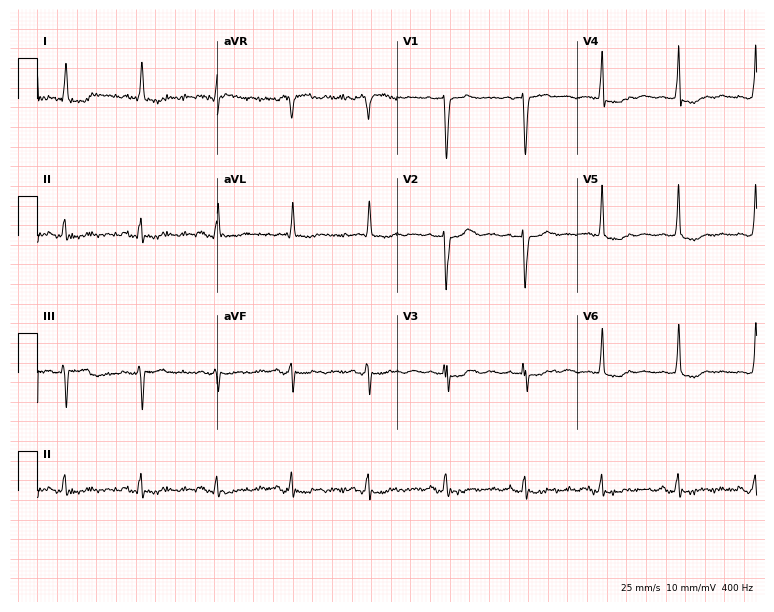
Electrocardiogram, a 69-year-old female. Of the six screened findings (first-degree AV block, right bundle branch block, left bundle branch block, sinus bradycardia, atrial fibrillation, sinus tachycardia), none is recorded. Findings outside these six are not listed.